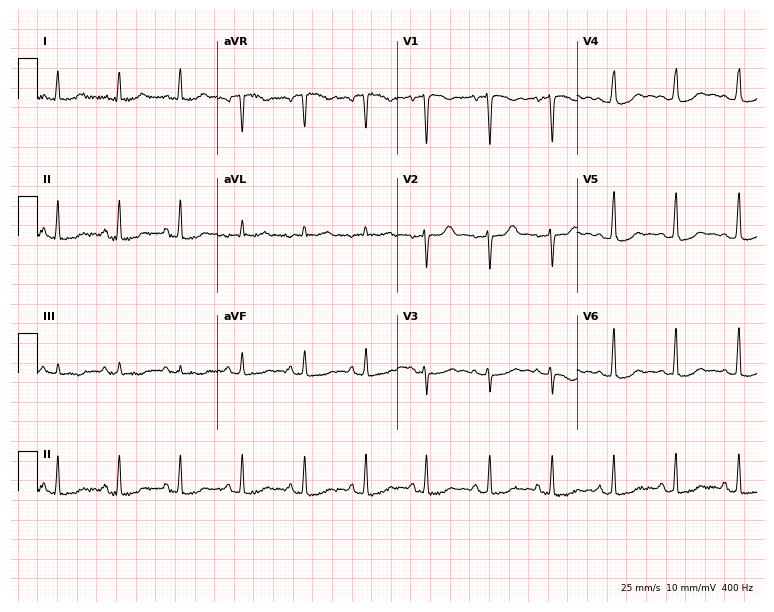
12-lead ECG from a 30-year-old female patient. Screened for six findings — first-degree AV block, right bundle branch block, left bundle branch block, sinus bradycardia, atrial fibrillation, sinus tachycardia — none is recorded. Only these six findings were labelled.